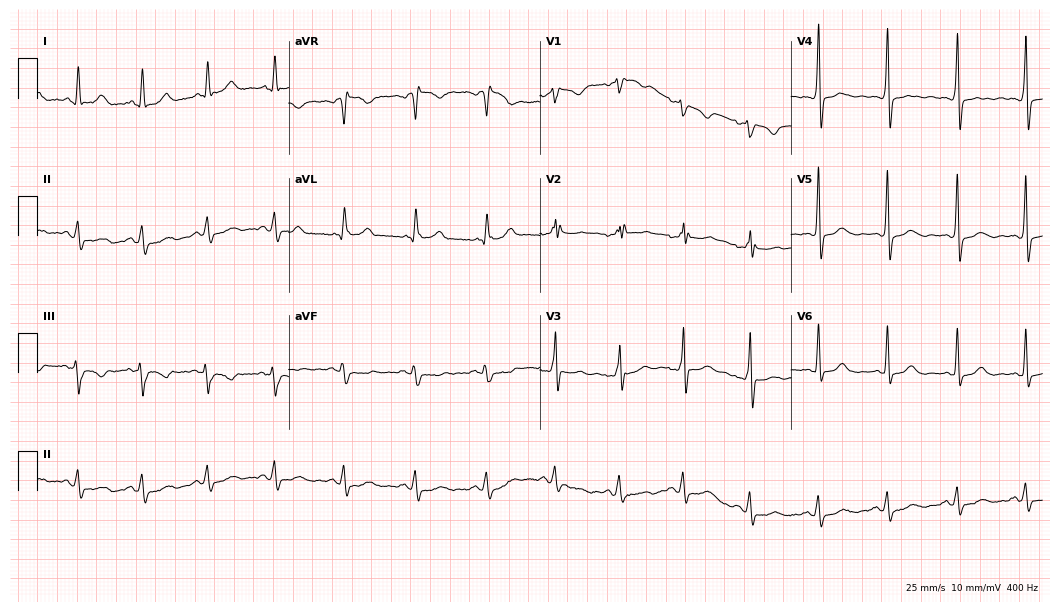
Resting 12-lead electrocardiogram. Patient: a woman, 45 years old. None of these six findings is recorded: first-degree AV block, right bundle branch block (RBBB), left bundle branch block (LBBB), sinus bradycardia, atrial fibrillation (AF), sinus tachycardia.